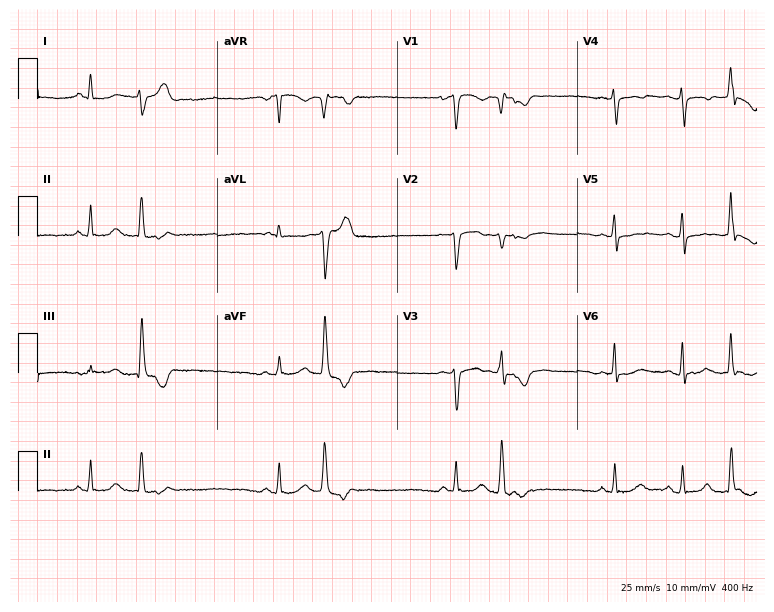
12-lead ECG from a 27-year-old woman. No first-degree AV block, right bundle branch block (RBBB), left bundle branch block (LBBB), sinus bradycardia, atrial fibrillation (AF) or sinus tachycardia recorded for this tracing. Other findings, if any, are not listed.